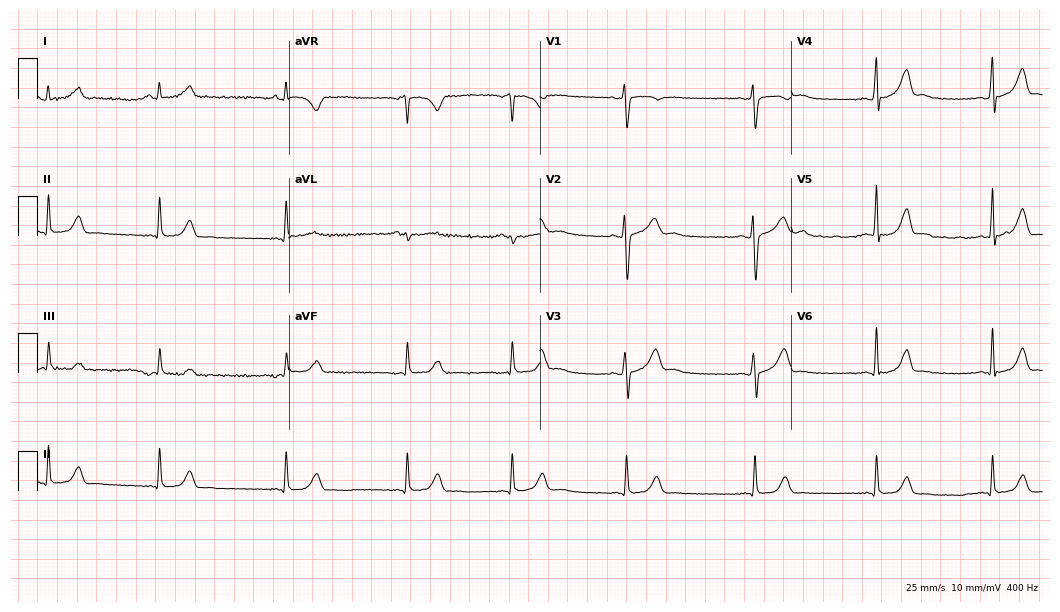
Electrocardiogram (10.2-second recording at 400 Hz), a woman, 29 years old. Overall reading on record: normal ECG.